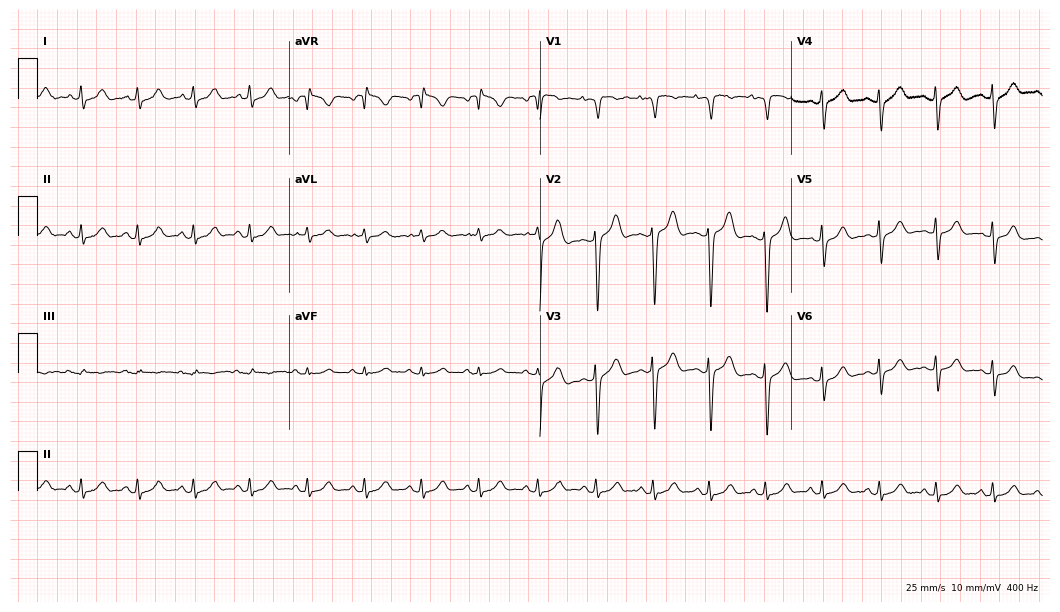
Resting 12-lead electrocardiogram (10.2-second recording at 400 Hz). Patient: a female, 31 years old. None of these six findings is recorded: first-degree AV block, right bundle branch block (RBBB), left bundle branch block (LBBB), sinus bradycardia, atrial fibrillation (AF), sinus tachycardia.